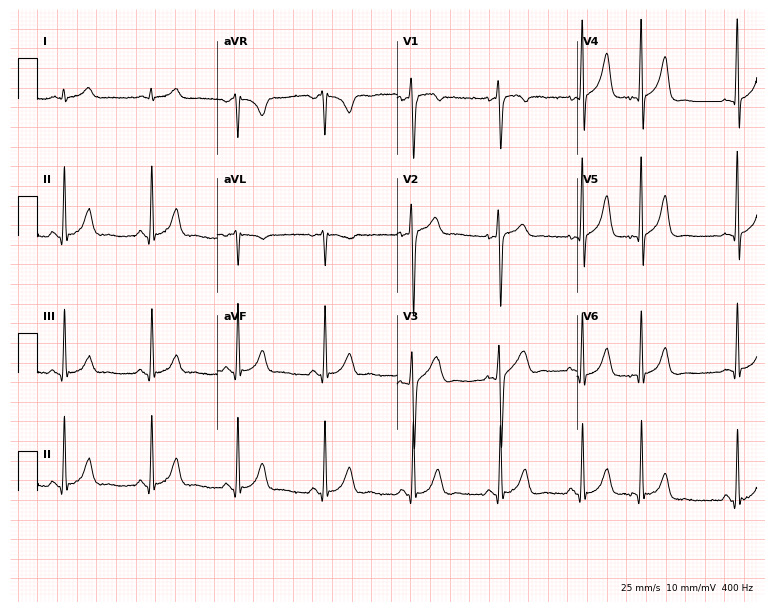
Electrocardiogram (7.3-second recording at 400 Hz), a male patient, 25 years old. Overall reading on record: normal ECG.